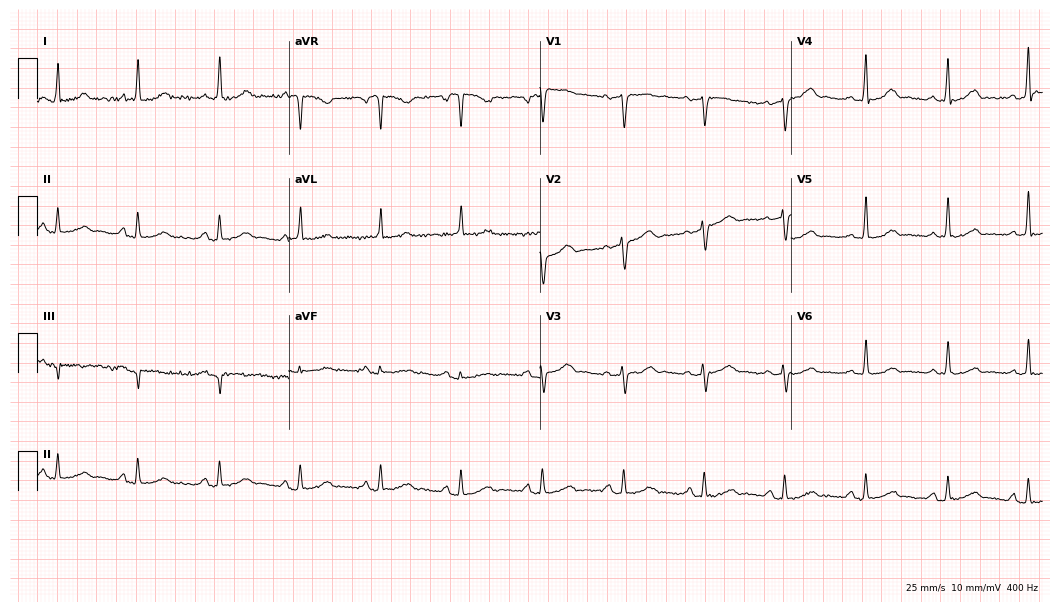
ECG — a female patient, 65 years old. Screened for six findings — first-degree AV block, right bundle branch block (RBBB), left bundle branch block (LBBB), sinus bradycardia, atrial fibrillation (AF), sinus tachycardia — none is recorded.